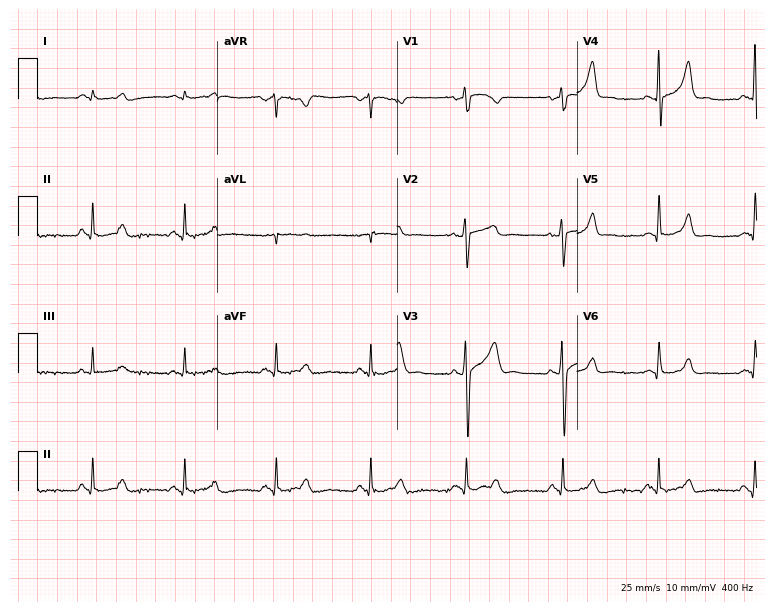
ECG — a 46-year-old male patient. Screened for six findings — first-degree AV block, right bundle branch block (RBBB), left bundle branch block (LBBB), sinus bradycardia, atrial fibrillation (AF), sinus tachycardia — none is recorded.